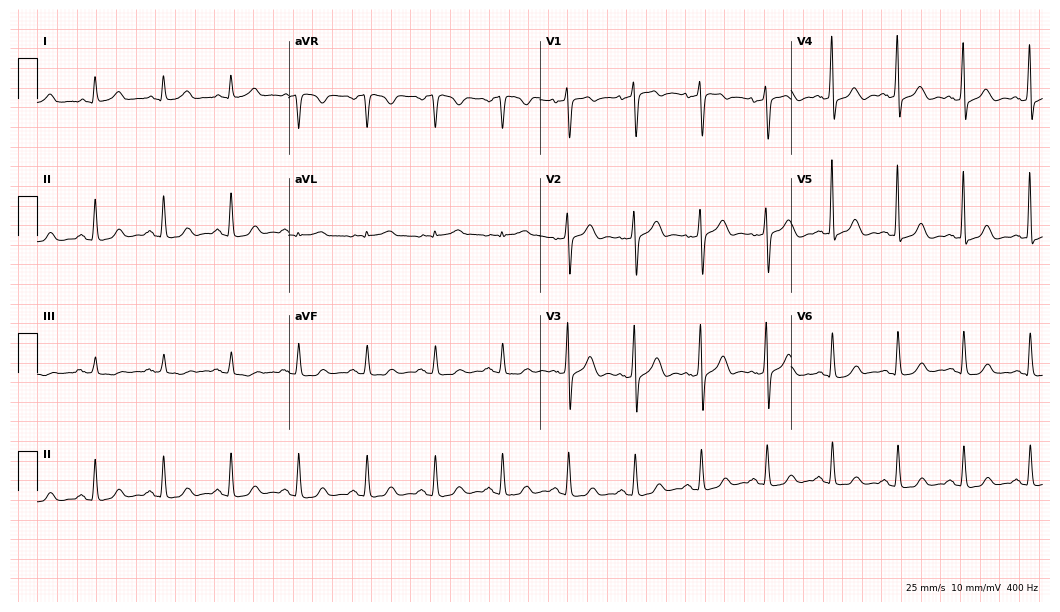
ECG (10.2-second recording at 400 Hz) — an 80-year-old man. Screened for six findings — first-degree AV block, right bundle branch block, left bundle branch block, sinus bradycardia, atrial fibrillation, sinus tachycardia — none is recorded.